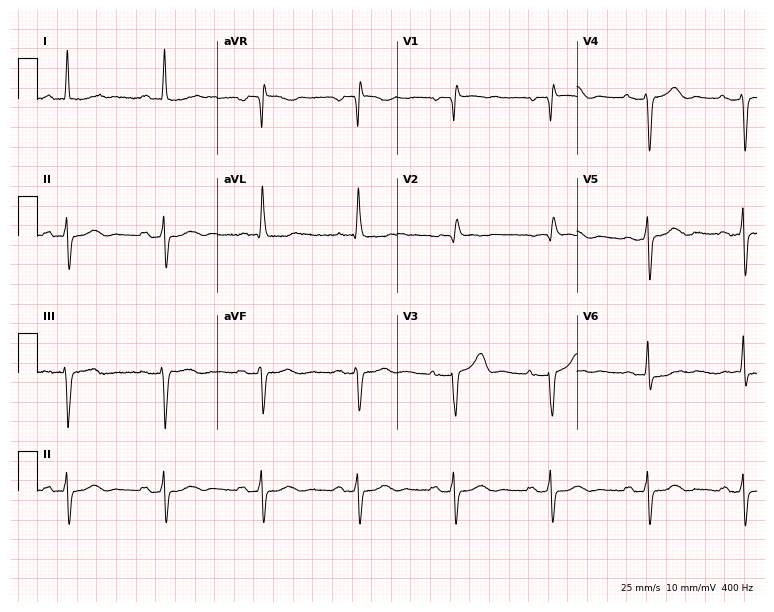
Resting 12-lead electrocardiogram. Patient: a woman, 73 years old. None of these six findings is recorded: first-degree AV block, right bundle branch block, left bundle branch block, sinus bradycardia, atrial fibrillation, sinus tachycardia. Other findings, if any, are not listed.